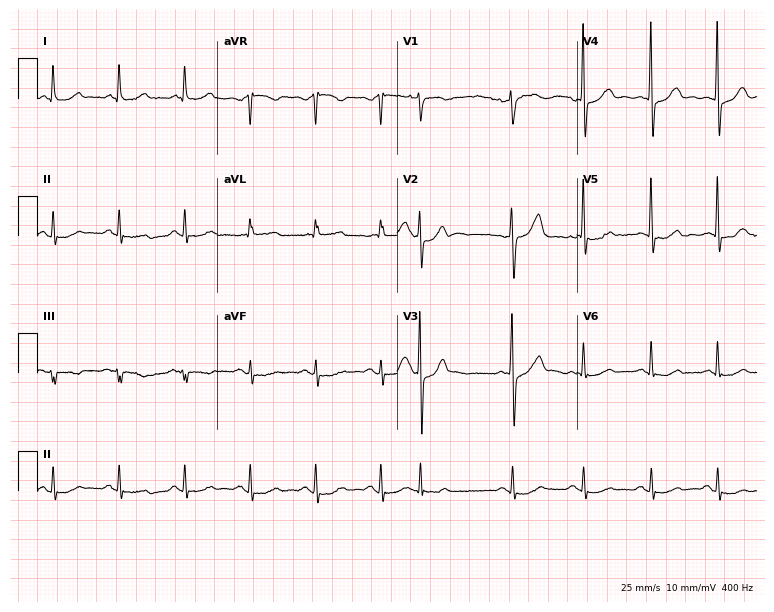
ECG (7.3-second recording at 400 Hz) — a man, 75 years old. Screened for six findings — first-degree AV block, right bundle branch block (RBBB), left bundle branch block (LBBB), sinus bradycardia, atrial fibrillation (AF), sinus tachycardia — none is recorded.